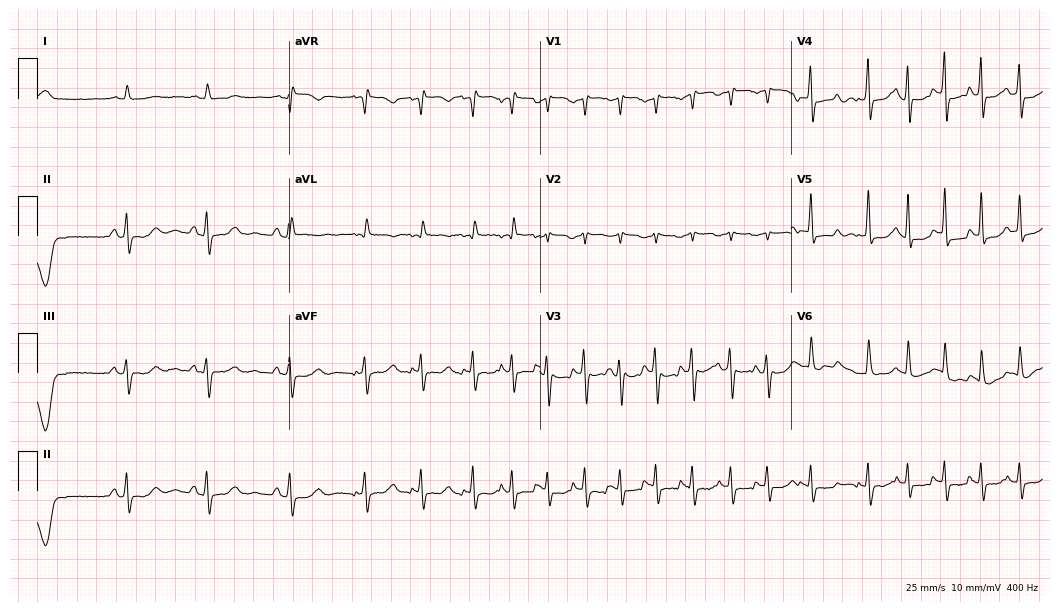
12-lead ECG from a male patient, 65 years old (10.2-second recording at 400 Hz). Shows sinus tachycardia (a sinus rate of 100 beats per minute or more).